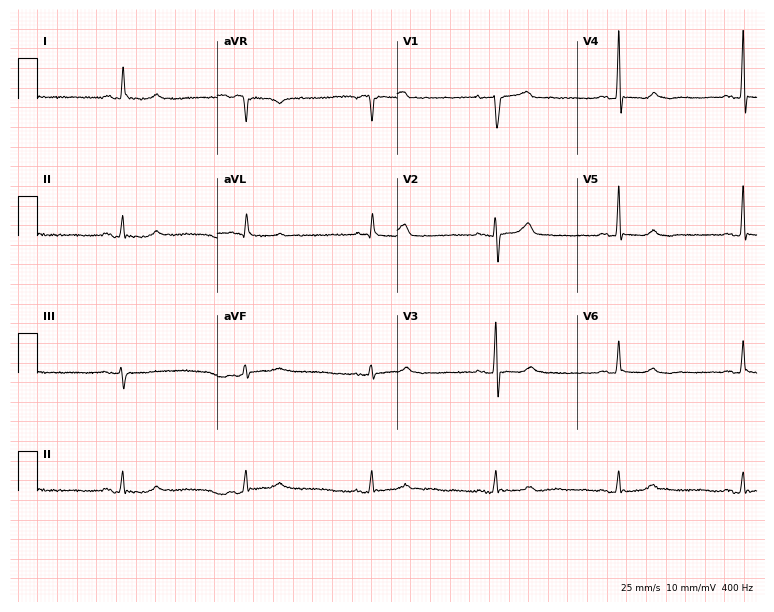
Electrocardiogram, a male patient, 83 years old. Of the six screened findings (first-degree AV block, right bundle branch block, left bundle branch block, sinus bradycardia, atrial fibrillation, sinus tachycardia), none is recorded. Findings outside these six are not listed.